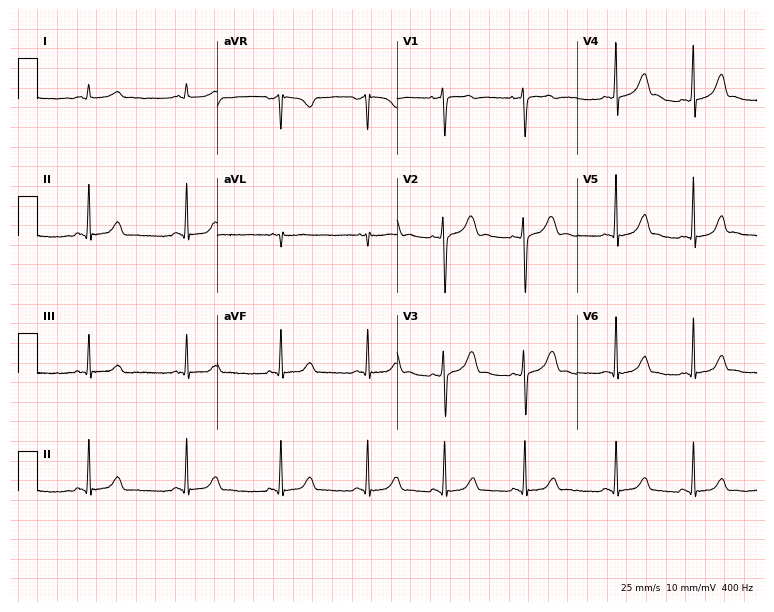
12-lead ECG from a 19-year-old woman. Recorded interpretation: within normal limits.